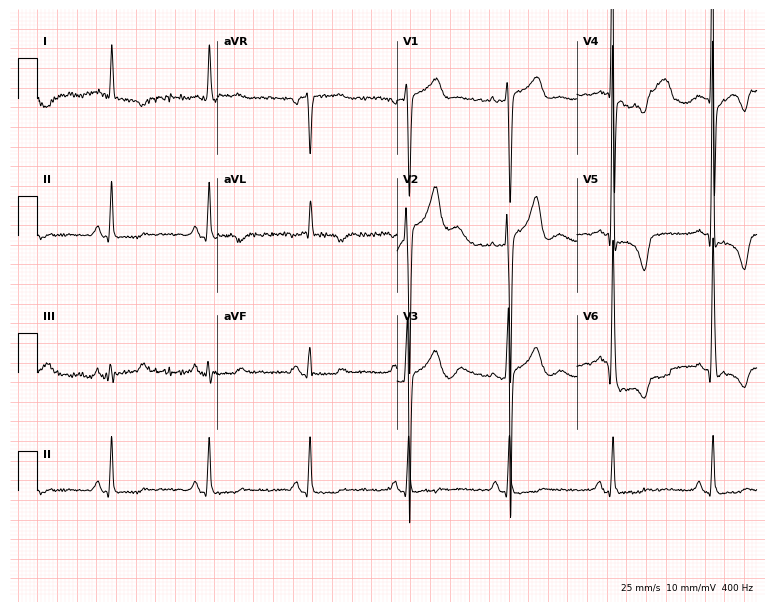
Standard 12-lead ECG recorded from a 55-year-old male. None of these six findings is recorded: first-degree AV block, right bundle branch block (RBBB), left bundle branch block (LBBB), sinus bradycardia, atrial fibrillation (AF), sinus tachycardia.